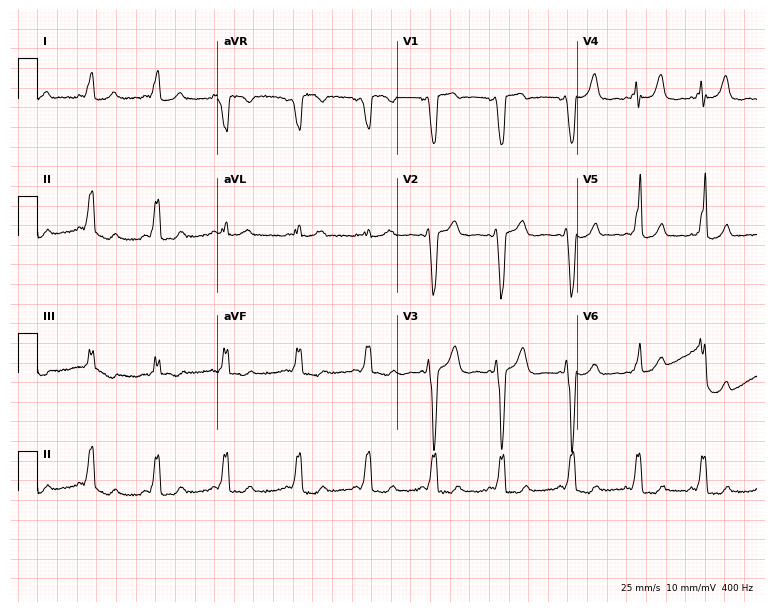
12-lead ECG (7.3-second recording at 400 Hz) from a woman, 21 years old. Screened for six findings — first-degree AV block, right bundle branch block, left bundle branch block, sinus bradycardia, atrial fibrillation, sinus tachycardia — none is recorded.